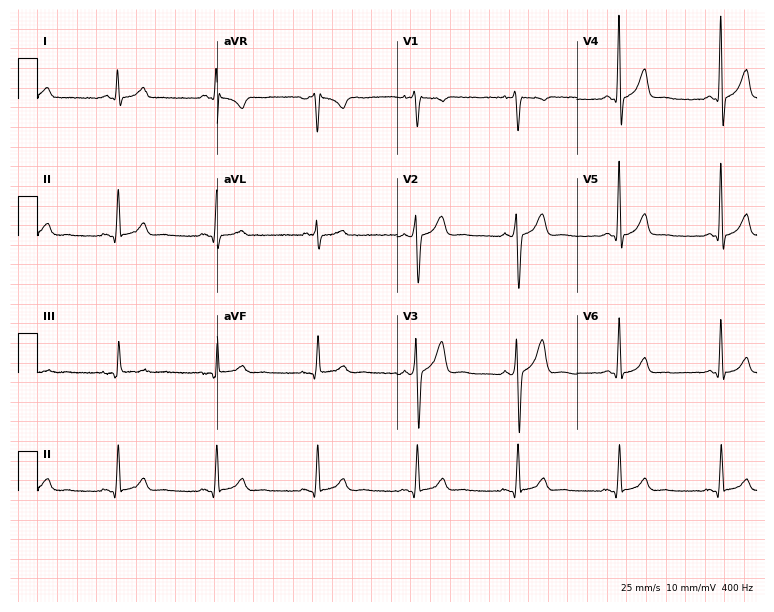
12-lead ECG from a 49-year-old male. No first-degree AV block, right bundle branch block, left bundle branch block, sinus bradycardia, atrial fibrillation or sinus tachycardia recorded for this tracing. Other findings, if any, are not listed.